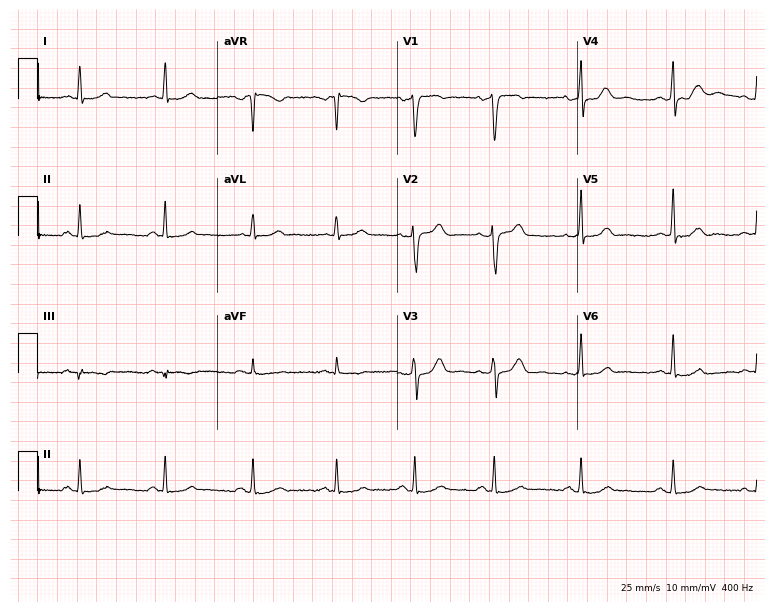
Standard 12-lead ECG recorded from a 44-year-old woman. Read as a normal ECG.